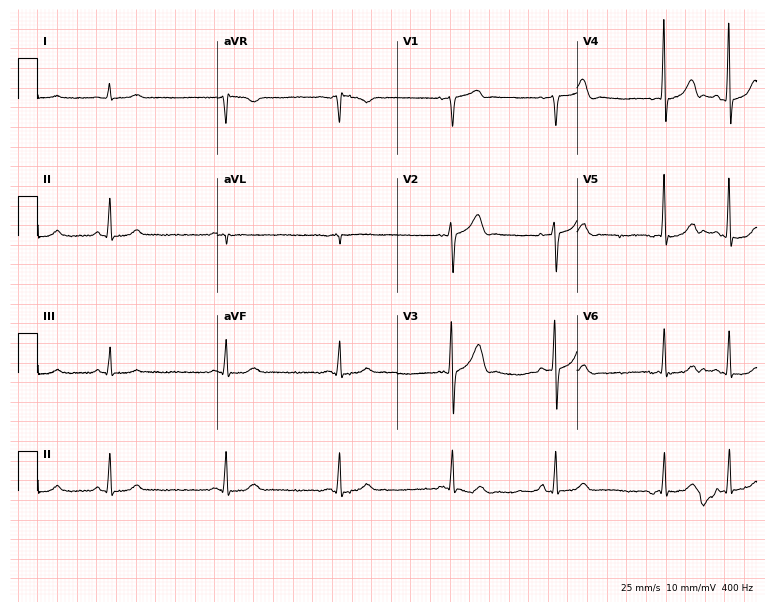
12-lead ECG from a 78-year-old male patient. No first-degree AV block, right bundle branch block, left bundle branch block, sinus bradycardia, atrial fibrillation or sinus tachycardia recorded for this tracing.